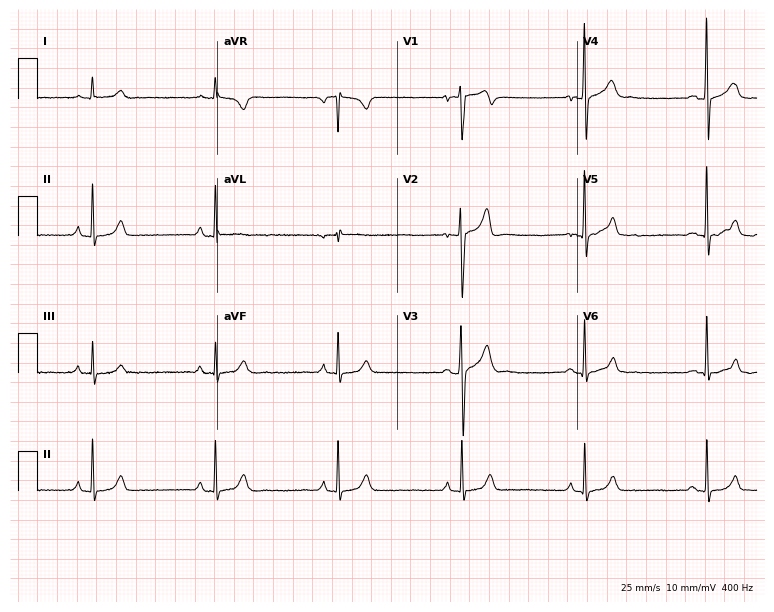
ECG (7.3-second recording at 400 Hz) — a male patient, 20 years old. Screened for six findings — first-degree AV block, right bundle branch block (RBBB), left bundle branch block (LBBB), sinus bradycardia, atrial fibrillation (AF), sinus tachycardia — none is recorded. Findings outside these six are not listed.